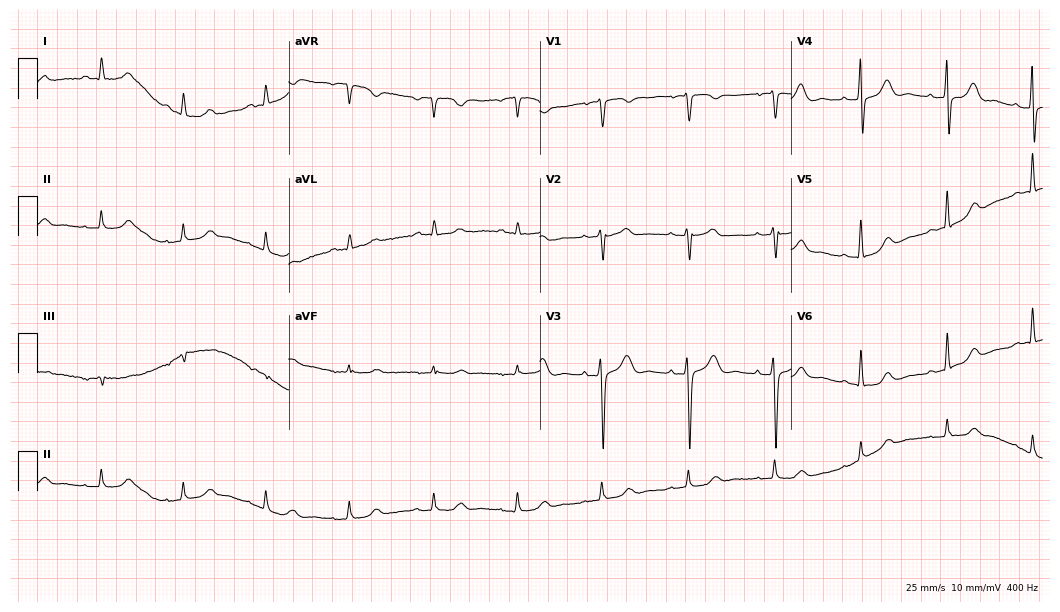
Resting 12-lead electrocardiogram. Patient: an 85-year-old woman. Read as a normal ECG.